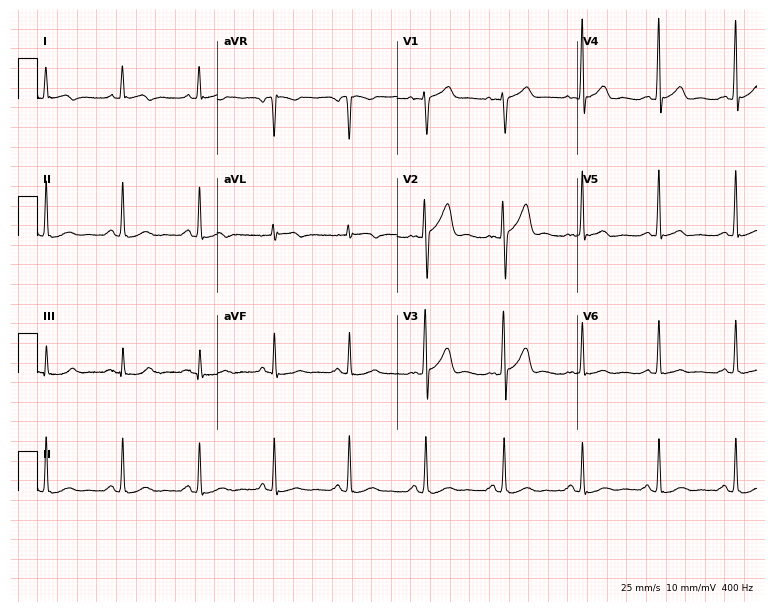
Standard 12-lead ECG recorded from a man, 59 years old (7.3-second recording at 400 Hz). Read as a normal ECG.